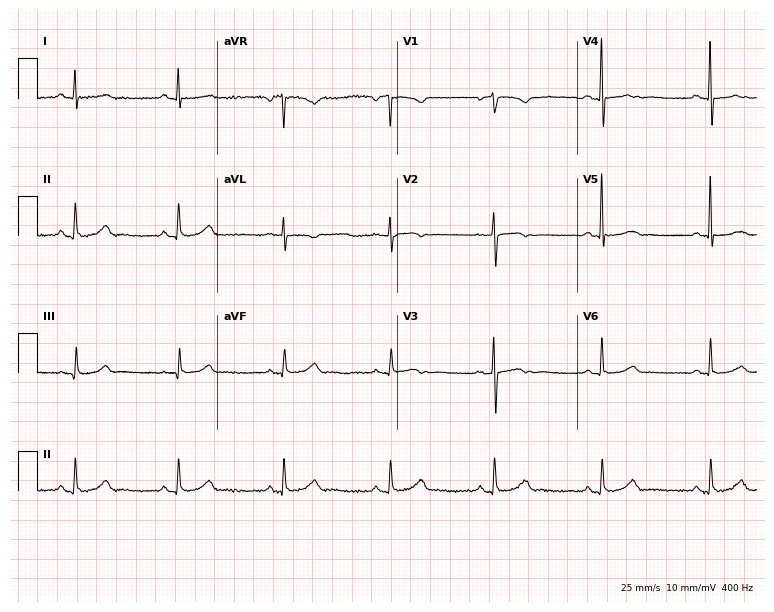
12-lead ECG from an 80-year-old female. Labelled as a normal ECG.